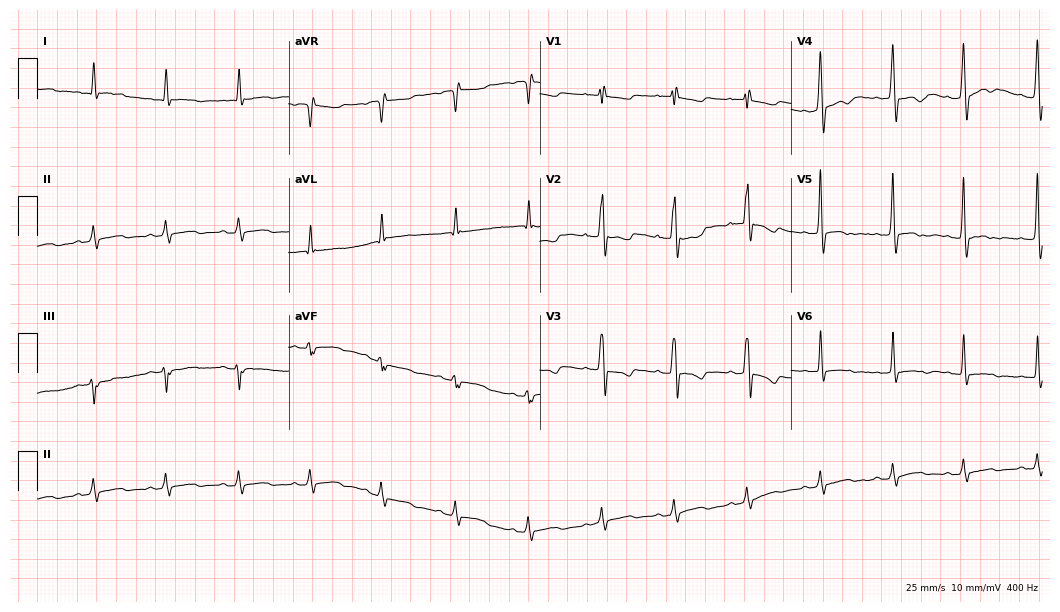
Resting 12-lead electrocardiogram. Patient: a male, 80 years old. None of these six findings is recorded: first-degree AV block, right bundle branch block (RBBB), left bundle branch block (LBBB), sinus bradycardia, atrial fibrillation (AF), sinus tachycardia. Other findings, if any, are not listed.